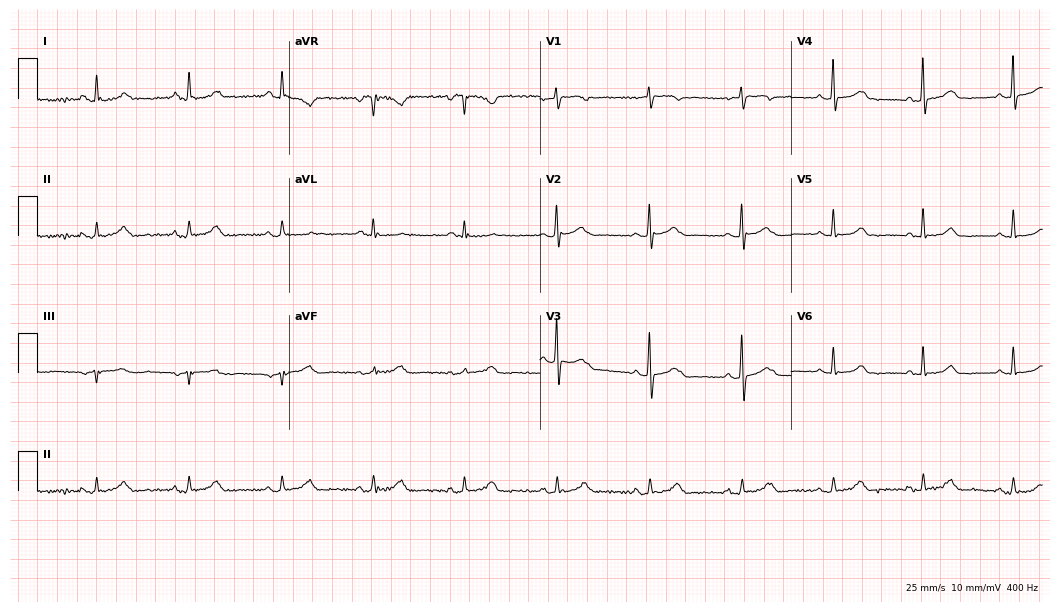
ECG — a 56-year-old female patient. Labelled as a normal ECG.